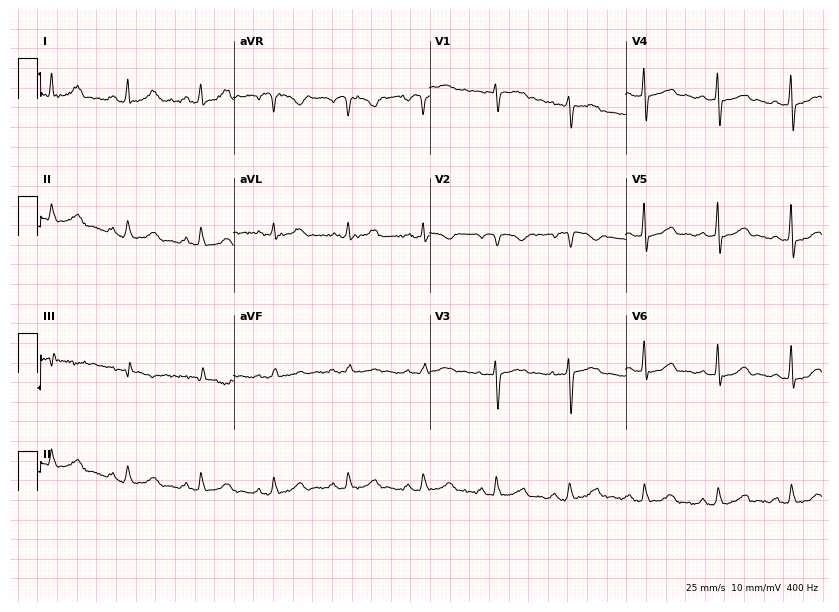
12-lead ECG from a 41-year-old female patient. Labelled as a normal ECG.